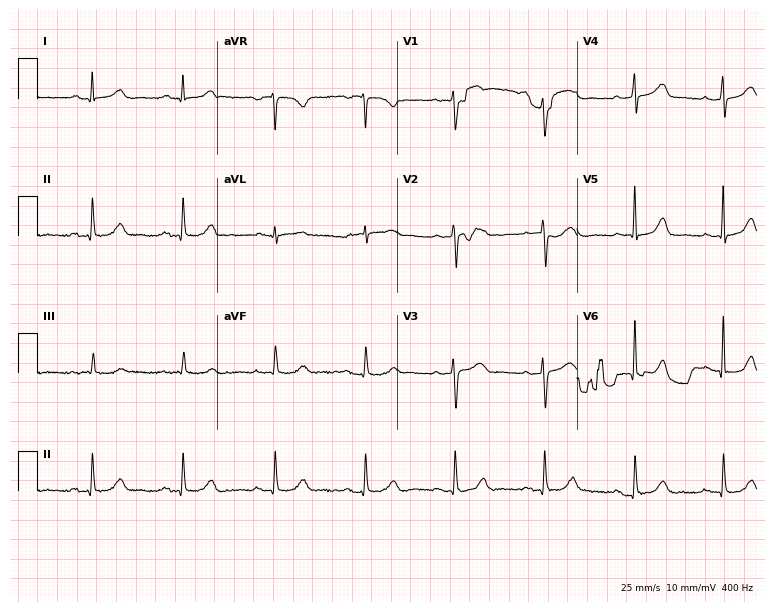
Electrocardiogram, a female patient, 52 years old. Overall reading on record: normal ECG.